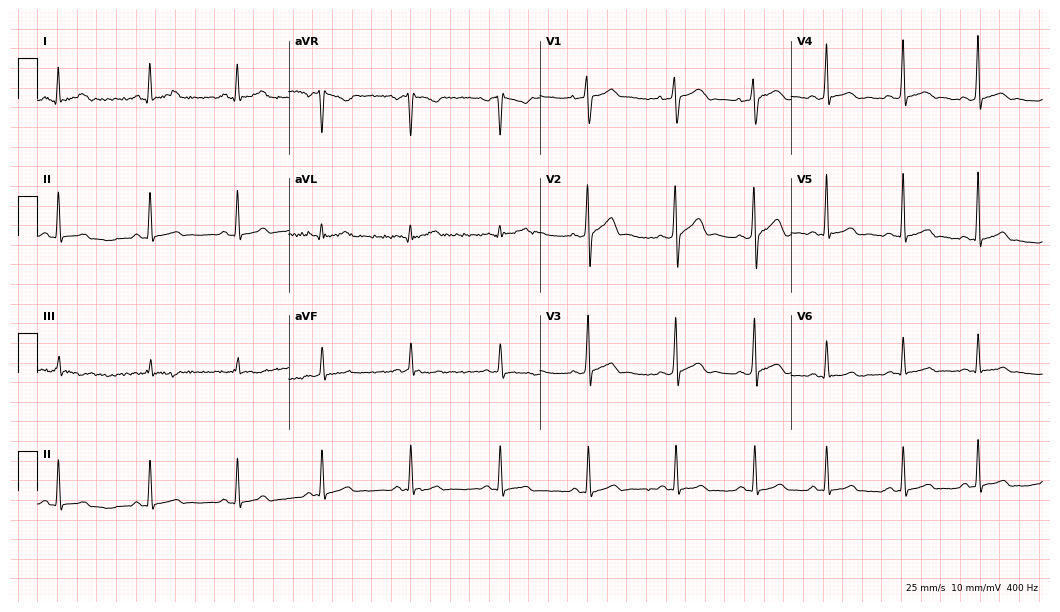
ECG (10.2-second recording at 400 Hz) — an 18-year-old male patient. Labelled as a normal ECG.